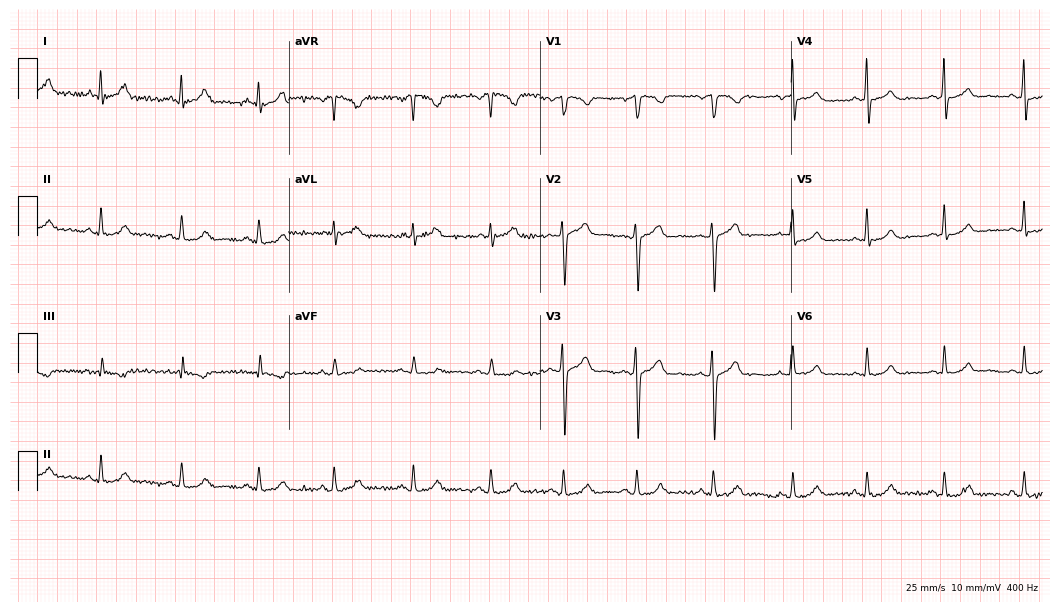
ECG — a 36-year-old female. Labelled as a normal ECG.